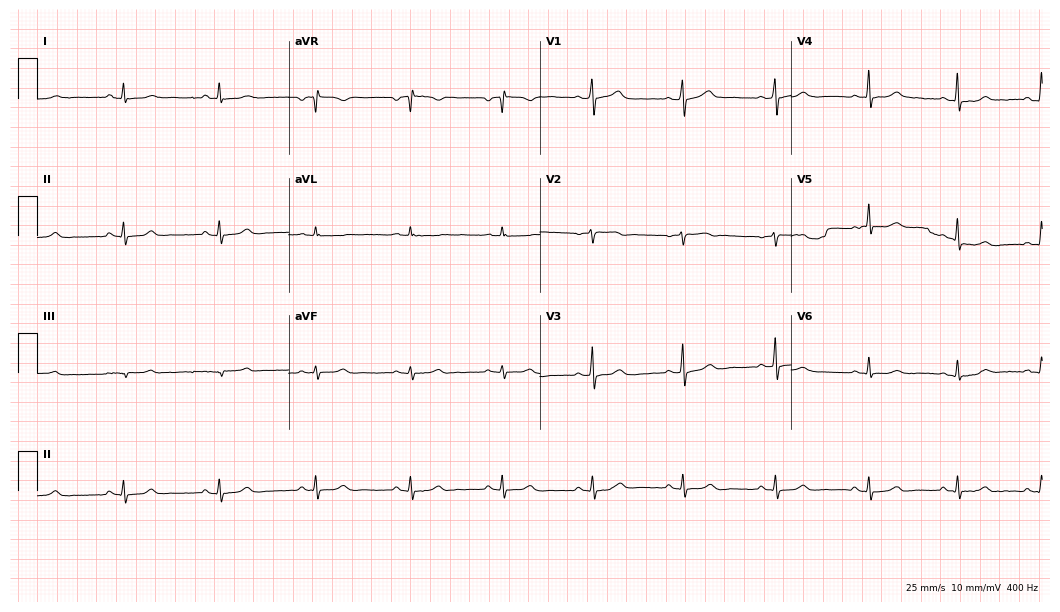
12-lead ECG from a female, 49 years old. Recorded interpretation: within normal limits.